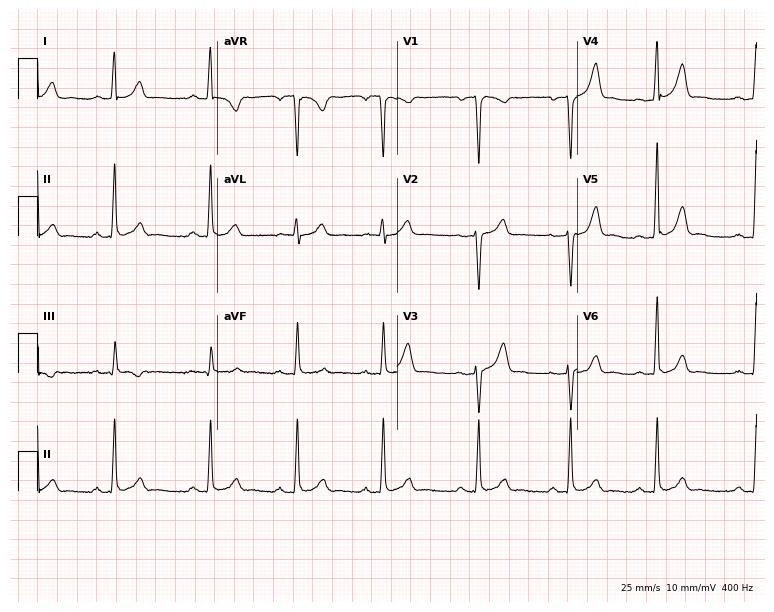
12-lead ECG (7.3-second recording at 400 Hz) from a woman, 31 years old. Screened for six findings — first-degree AV block, right bundle branch block, left bundle branch block, sinus bradycardia, atrial fibrillation, sinus tachycardia — none is recorded.